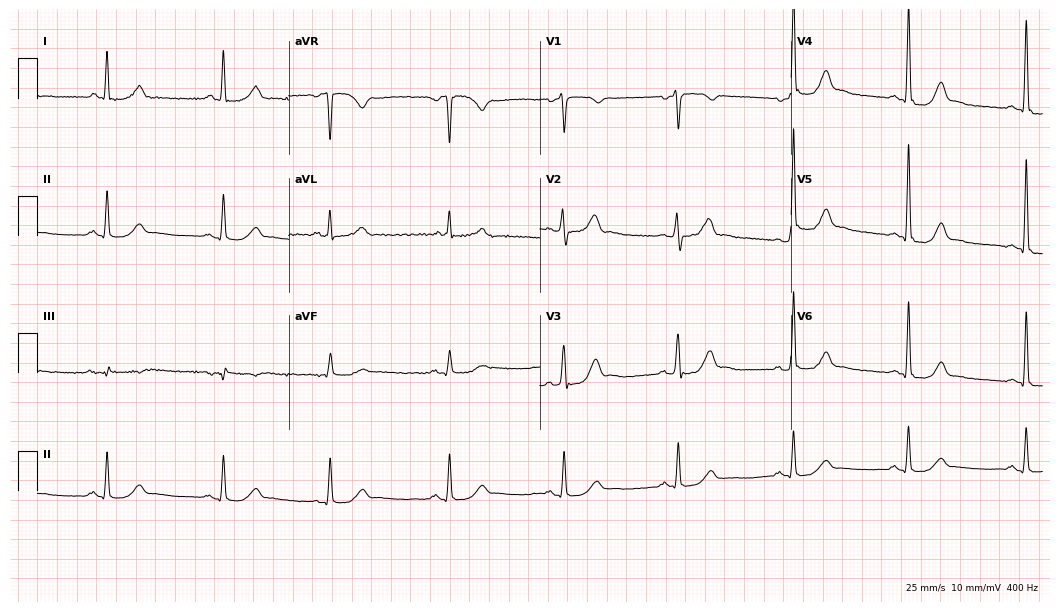
ECG (10.2-second recording at 400 Hz) — a 53-year-old male. Screened for six findings — first-degree AV block, right bundle branch block (RBBB), left bundle branch block (LBBB), sinus bradycardia, atrial fibrillation (AF), sinus tachycardia — none is recorded.